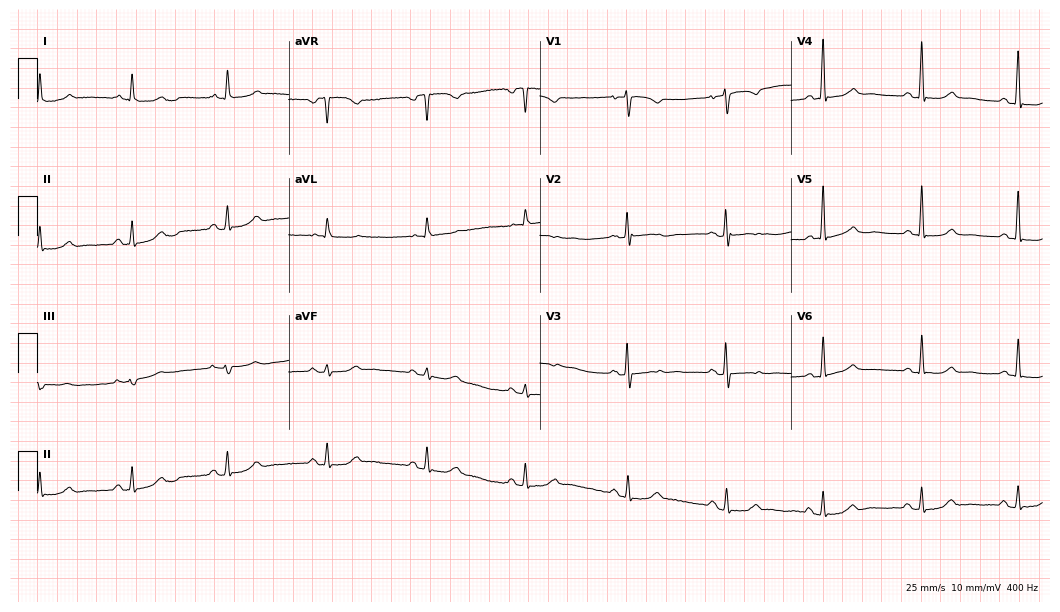
Resting 12-lead electrocardiogram (10.2-second recording at 400 Hz). Patient: a 61-year-old female. Read as a normal ECG.